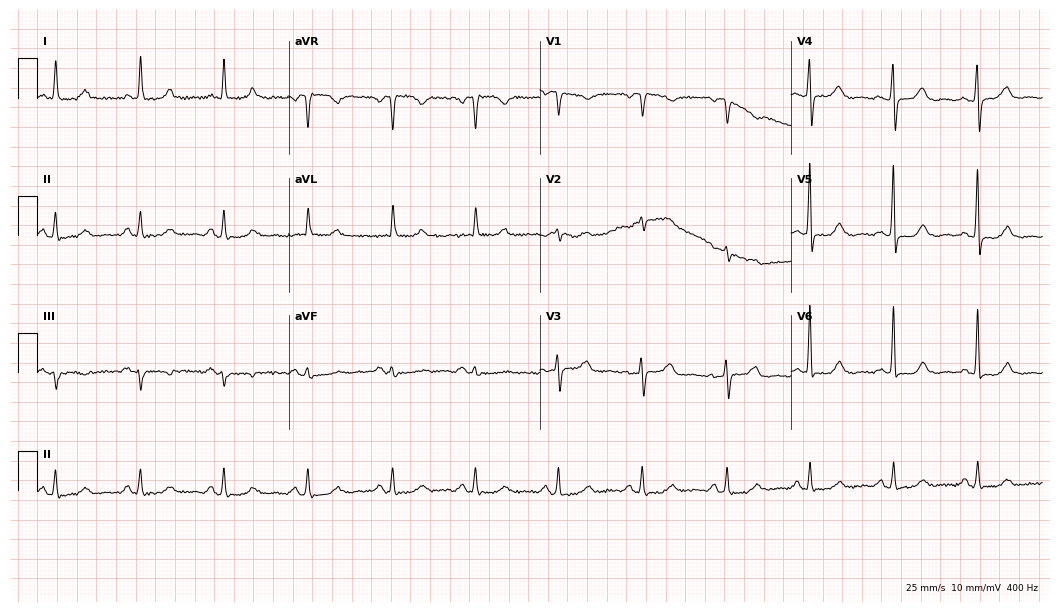
ECG (10.2-second recording at 400 Hz) — a 73-year-old woman. Screened for six findings — first-degree AV block, right bundle branch block (RBBB), left bundle branch block (LBBB), sinus bradycardia, atrial fibrillation (AF), sinus tachycardia — none is recorded.